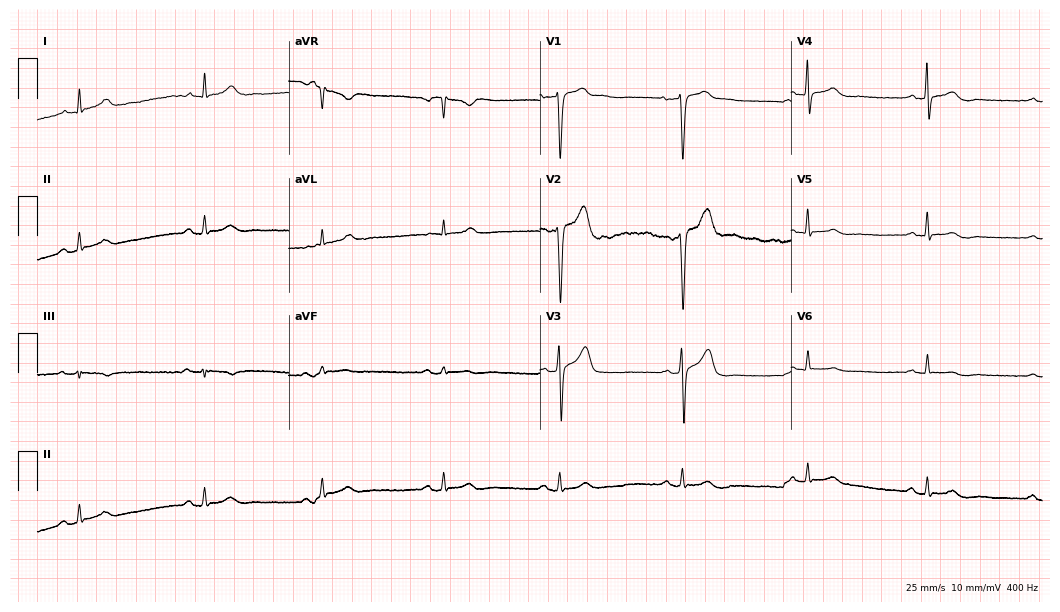
12-lead ECG from a 47-year-old man. Recorded interpretation: within normal limits.